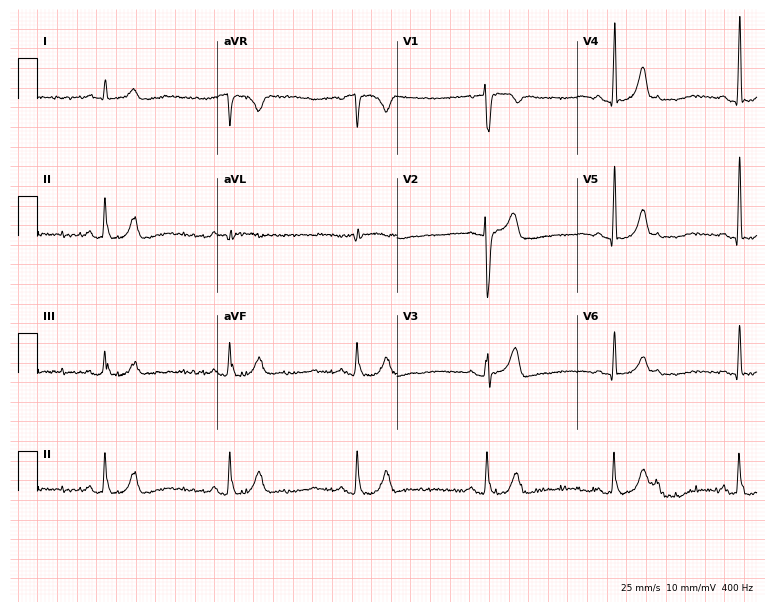
Resting 12-lead electrocardiogram. Patient: a 40-year-old male. The tracing shows sinus bradycardia (a sinus rate of 50 beats per minute or less).